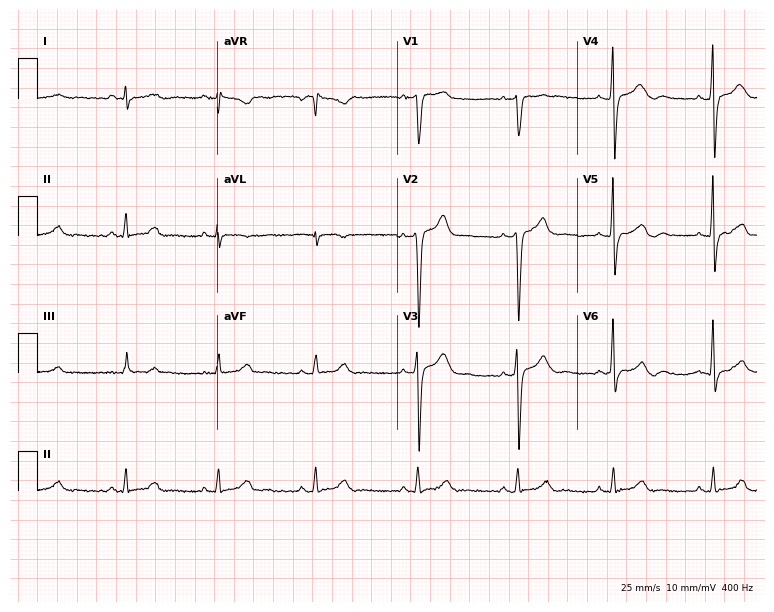
Electrocardiogram, a 50-year-old male. Of the six screened findings (first-degree AV block, right bundle branch block, left bundle branch block, sinus bradycardia, atrial fibrillation, sinus tachycardia), none is recorded.